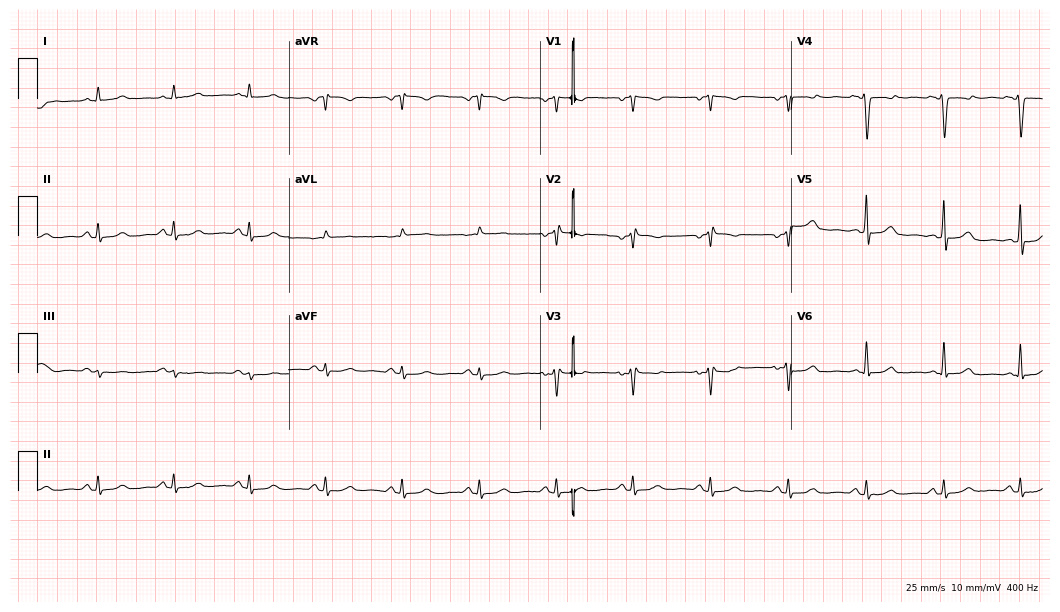
12-lead ECG from a 50-year-old female patient (10.2-second recording at 400 Hz). No first-degree AV block, right bundle branch block (RBBB), left bundle branch block (LBBB), sinus bradycardia, atrial fibrillation (AF) or sinus tachycardia recorded for this tracing.